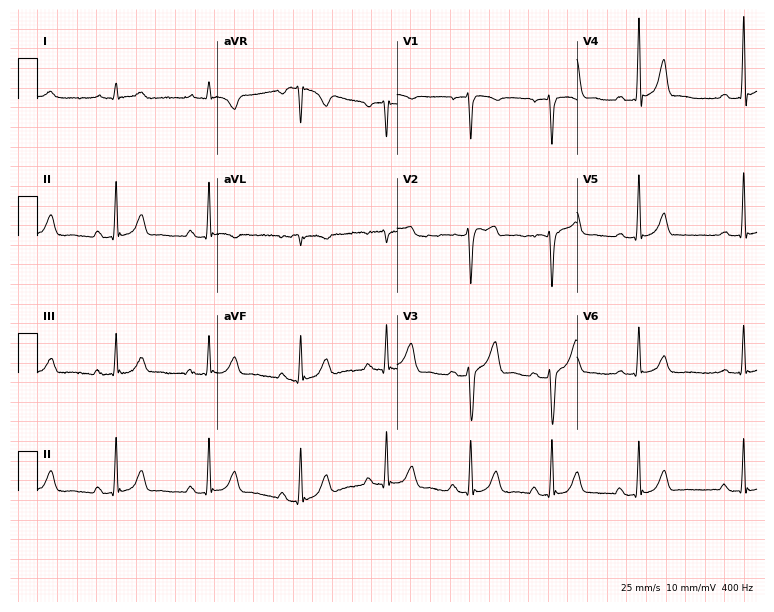
Electrocardiogram, a 53-year-old male. Interpretation includes first-degree AV block.